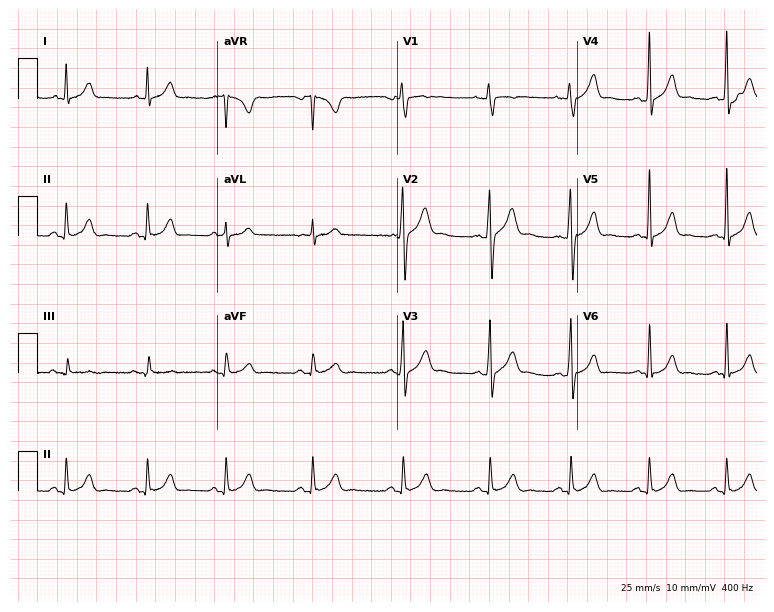
Electrocardiogram (7.3-second recording at 400 Hz), a 22-year-old male. Overall reading on record: normal ECG.